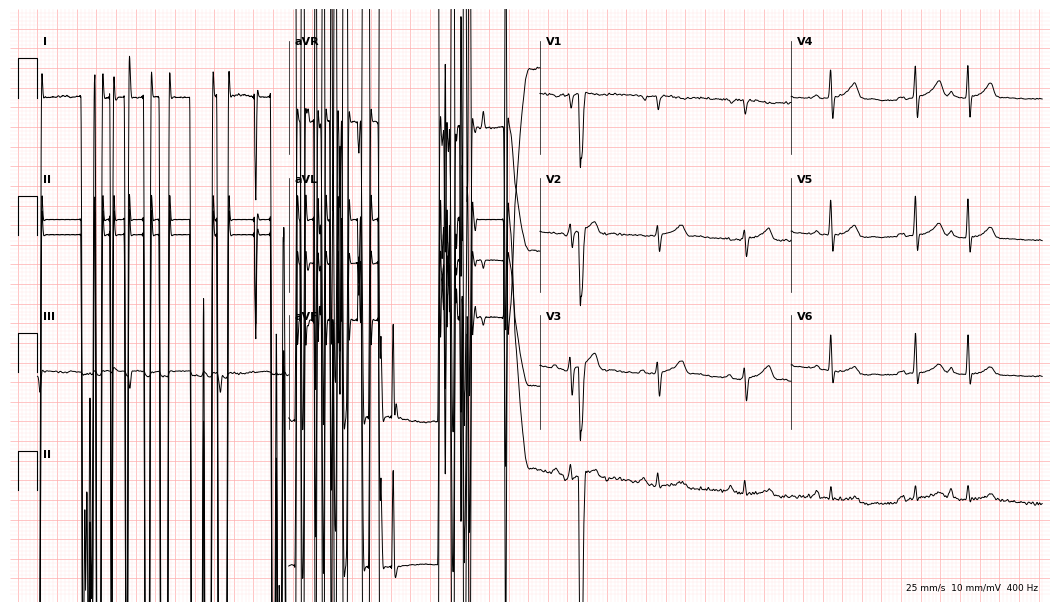
ECG — a 60-year-old male. Screened for six findings — first-degree AV block, right bundle branch block (RBBB), left bundle branch block (LBBB), sinus bradycardia, atrial fibrillation (AF), sinus tachycardia — none is recorded.